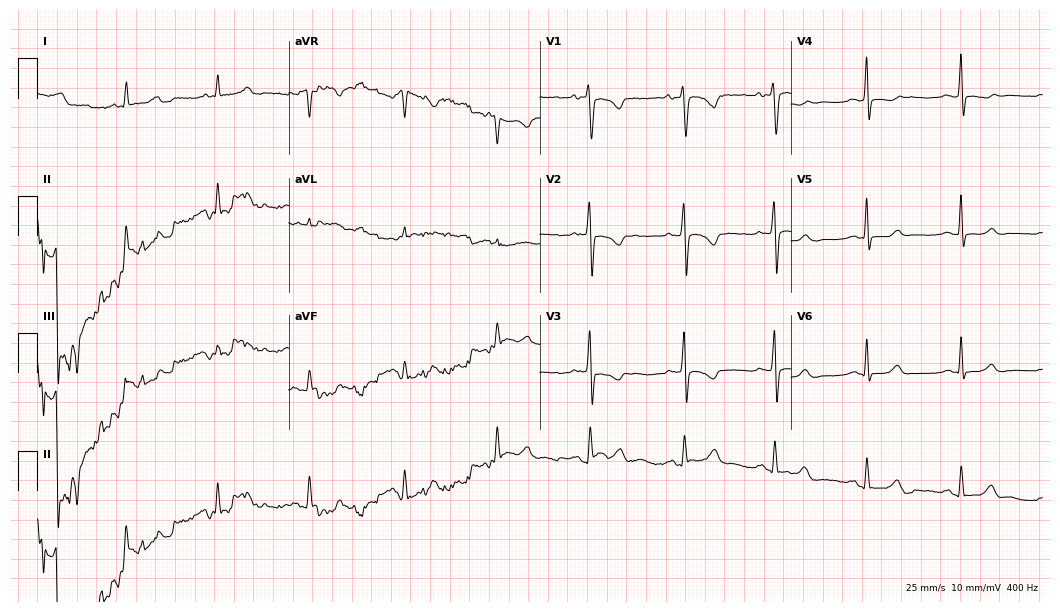
Electrocardiogram (10.2-second recording at 400 Hz), a female patient, 30 years old. Of the six screened findings (first-degree AV block, right bundle branch block, left bundle branch block, sinus bradycardia, atrial fibrillation, sinus tachycardia), none is recorded. Only these six findings were labelled.